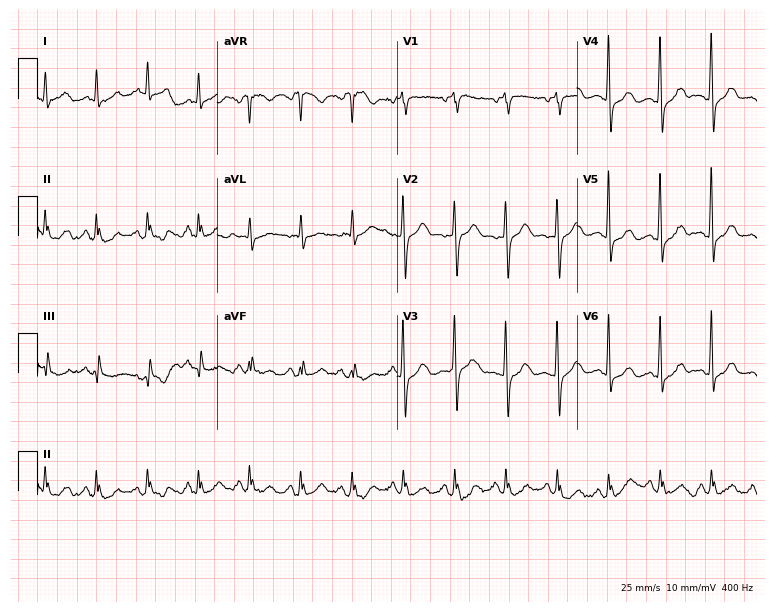
ECG (7.3-second recording at 400 Hz) — a 74-year-old female patient. Findings include sinus tachycardia (a sinus rate of 100 beats per minute or more).